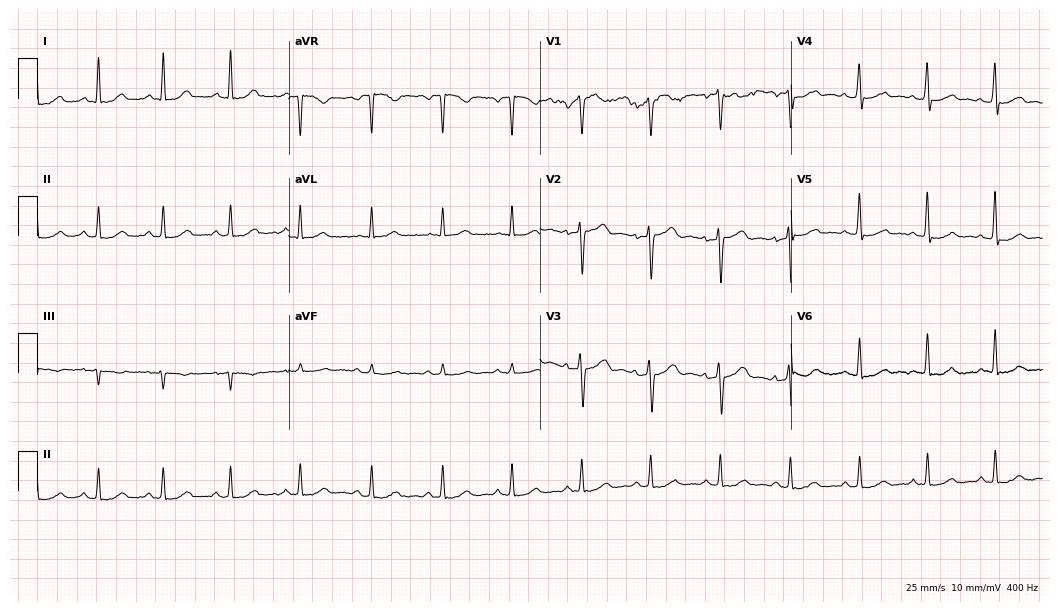
12-lead ECG (10.2-second recording at 400 Hz) from a male patient, 57 years old. Labelled as a normal ECG.